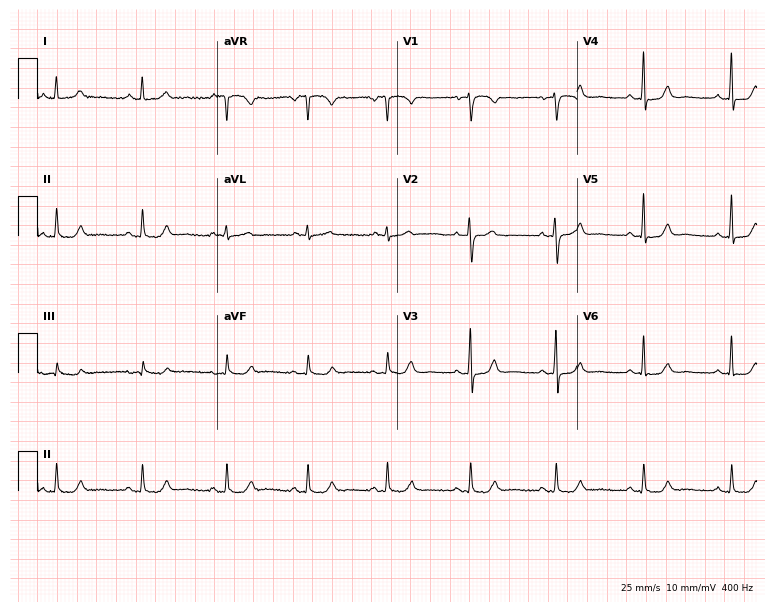
Standard 12-lead ECG recorded from a woman, 68 years old (7.3-second recording at 400 Hz). Read as a normal ECG.